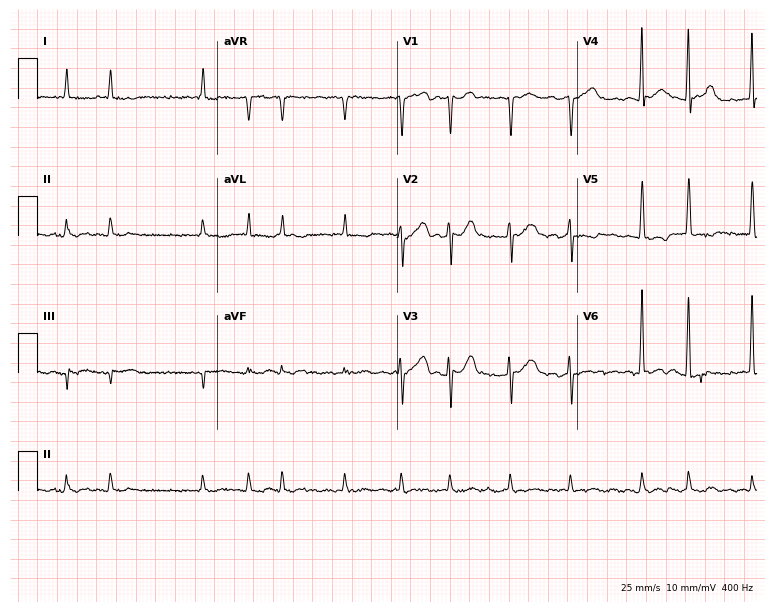
Standard 12-lead ECG recorded from a man, 81 years old. The tracing shows atrial fibrillation.